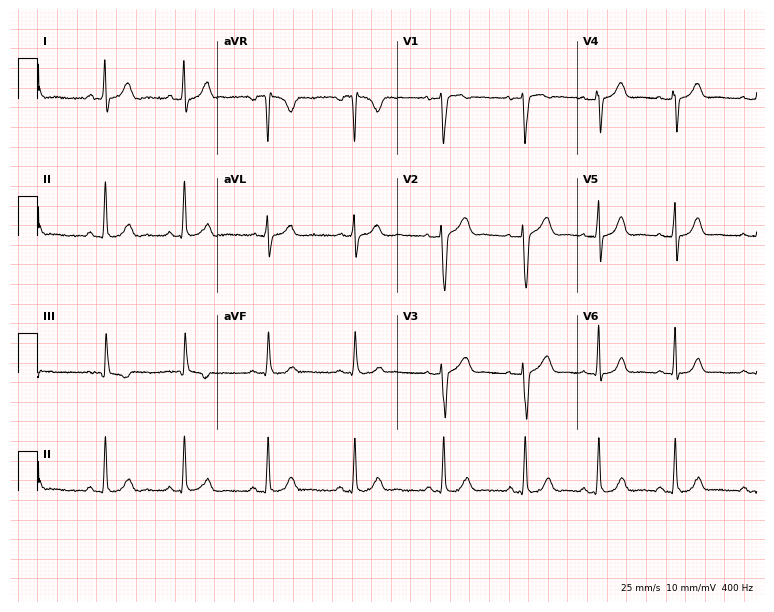
Electrocardiogram (7.3-second recording at 400 Hz), a 31-year-old female. Overall reading on record: normal ECG.